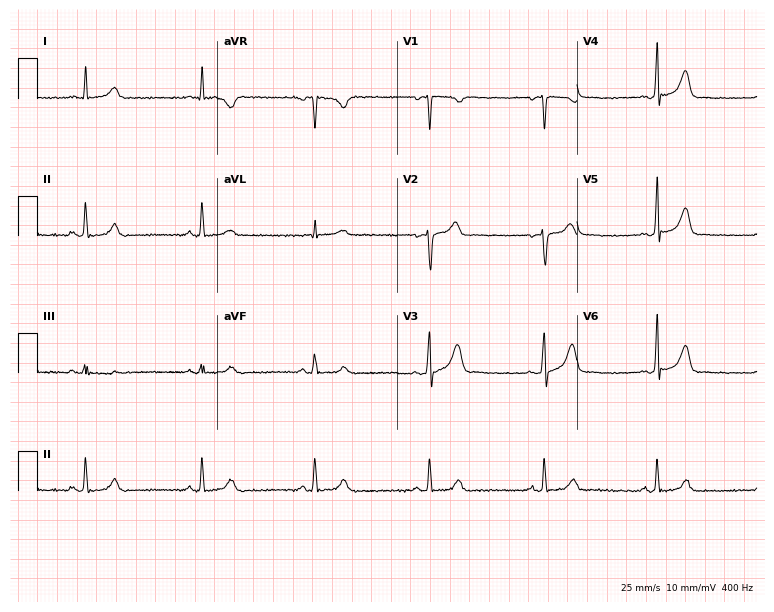
Resting 12-lead electrocardiogram. Patient: a man, 41 years old. Read as a normal ECG.